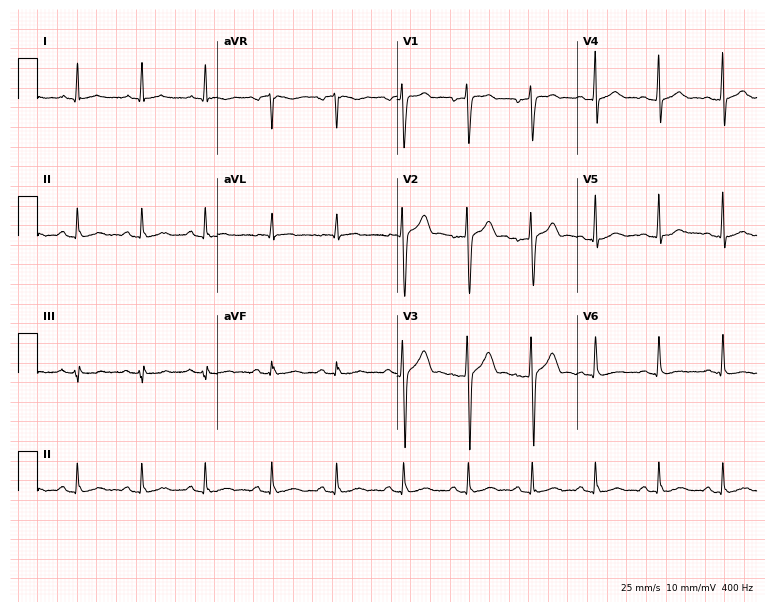
ECG — a male, 38 years old. Screened for six findings — first-degree AV block, right bundle branch block, left bundle branch block, sinus bradycardia, atrial fibrillation, sinus tachycardia — none is recorded.